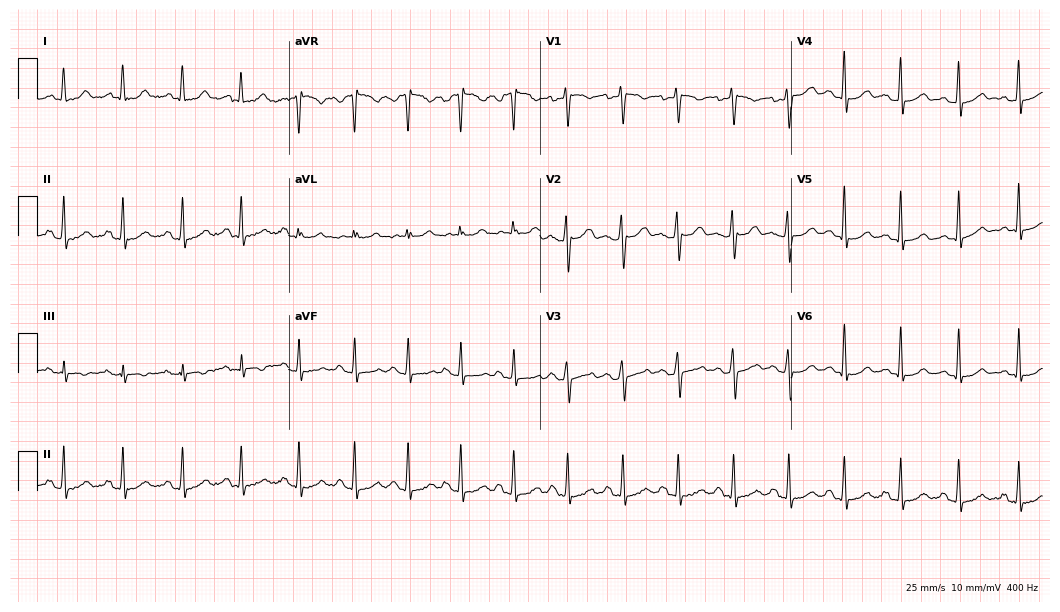
Resting 12-lead electrocardiogram (10.2-second recording at 400 Hz). Patient: a 25-year-old woman. The tracing shows sinus tachycardia (a sinus rate of 100 beats per minute or more).